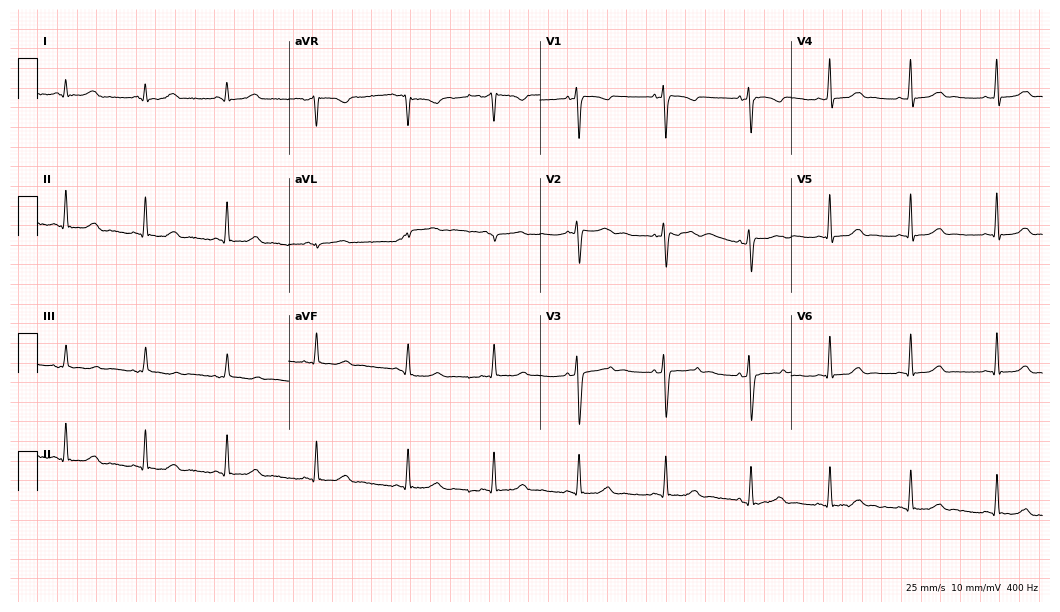
Resting 12-lead electrocardiogram (10.2-second recording at 400 Hz). Patient: a 28-year-old female. Read as a normal ECG.